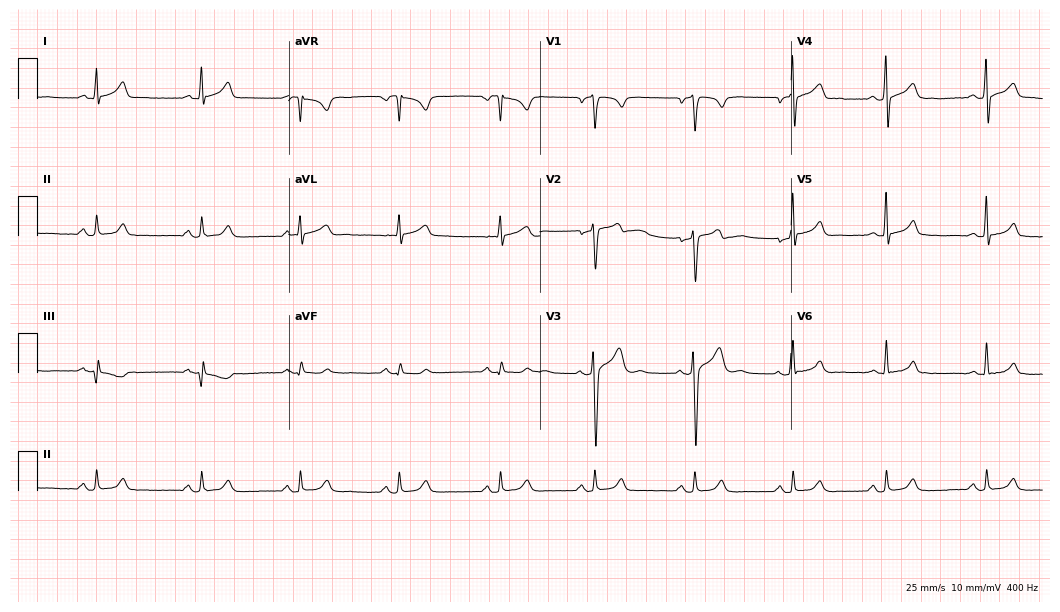
Resting 12-lead electrocardiogram. Patient: a 36-year-old man. Read as a normal ECG.